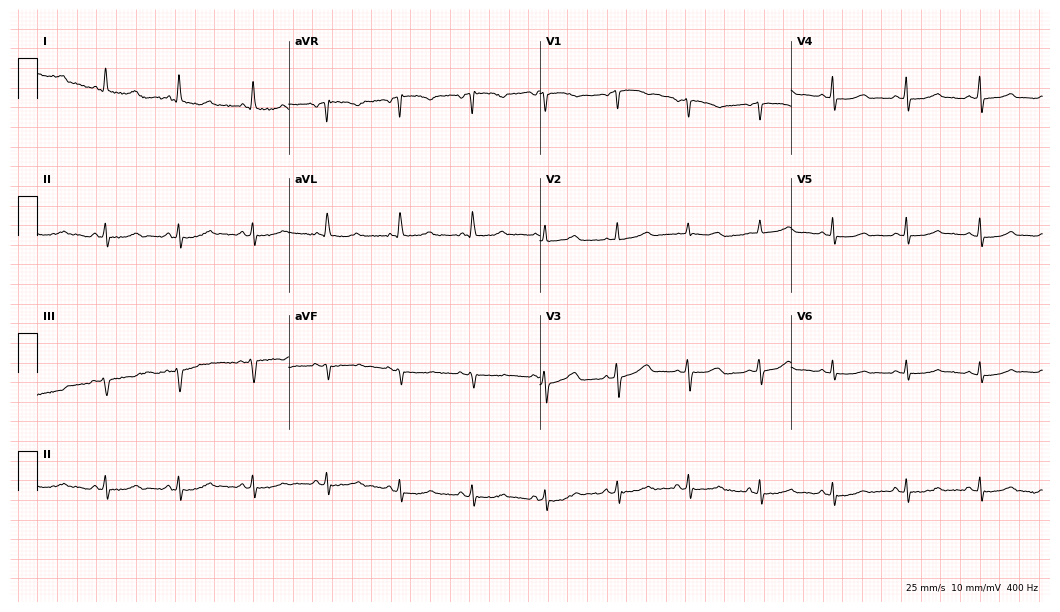
Standard 12-lead ECG recorded from a 70-year-old female (10.2-second recording at 400 Hz). None of these six findings is recorded: first-degree AV block, right bundle branch block, left bundle branch block, sinus bradycardia, atrial fibrillation, sinus tachycardia.